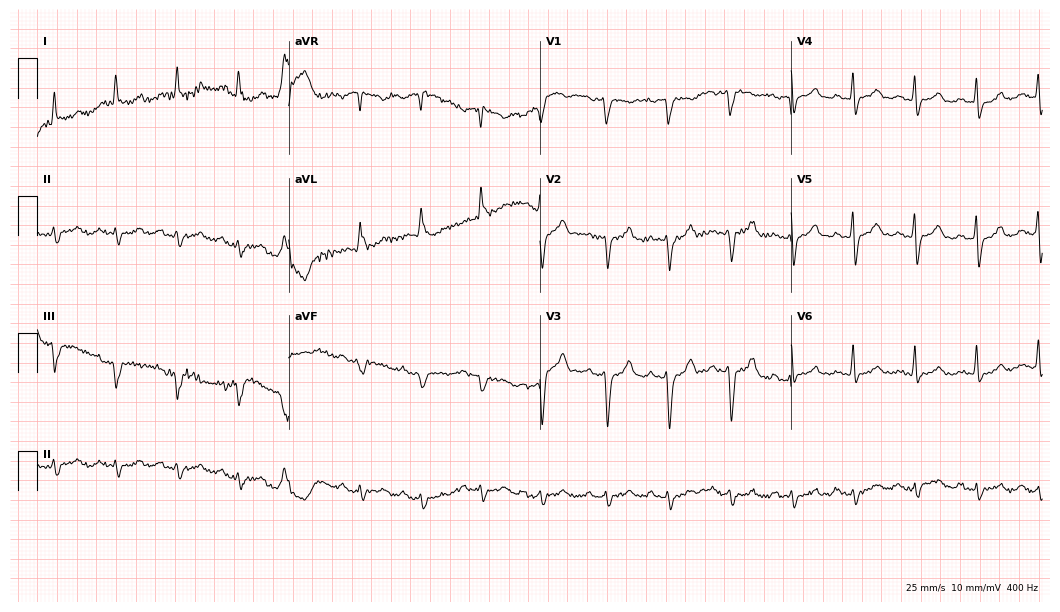
Standard 12-lead ECG recorded from an 85-year-old man (10.2-second recording at 400 Hz). None of these six findings is recorded: first-degree AV block, right bundle branch block (RBBB), left bundle branch block (LBBB), sinus bradycardia, atrial fibrillation (AF), sinus tachycardia.